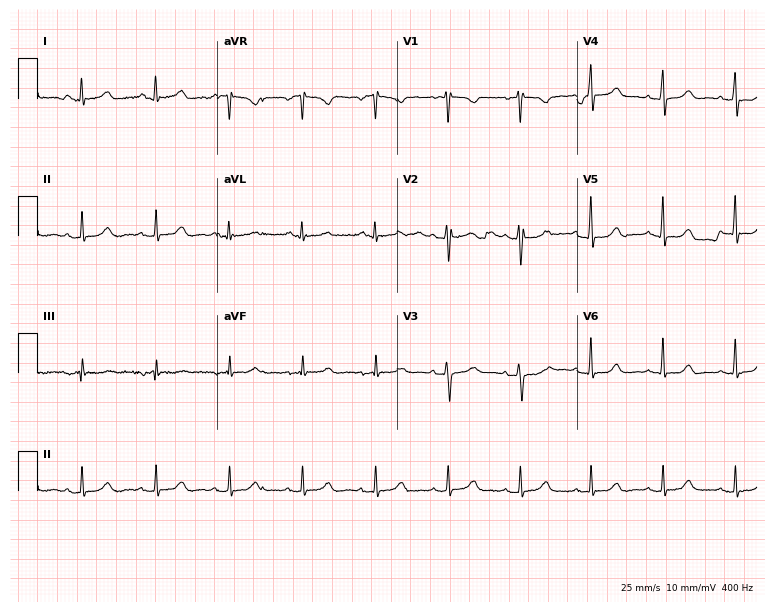
Resting 12-lead electrocardiogram. Patient: a 66-year-old female. Read as a normal ECG.